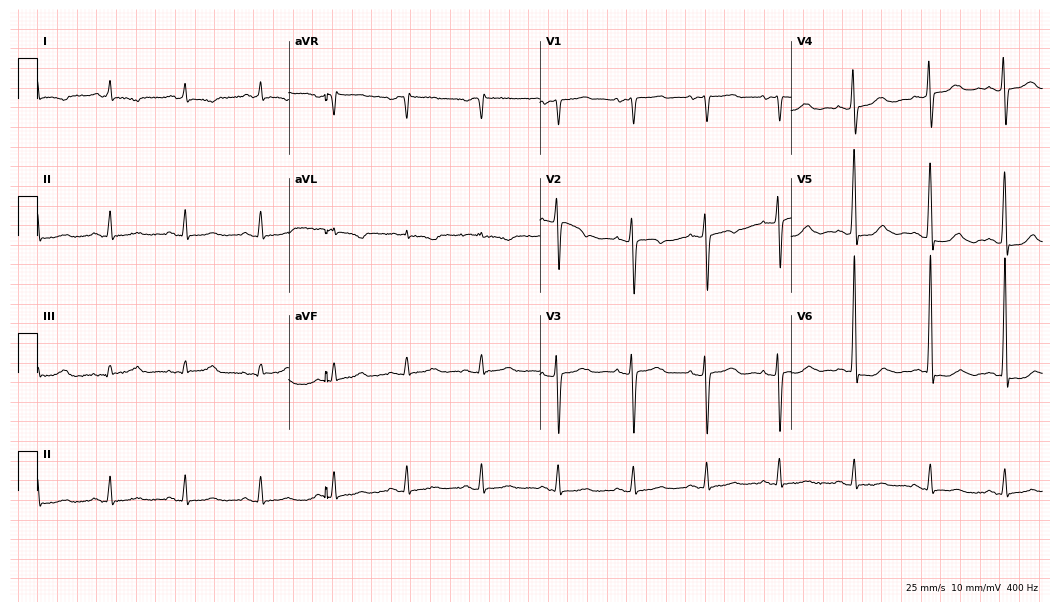
12-lead ECG from a male patient, 41 years old (10.2-second recording at 400 Hz). No first-degree AV block, right bundle branch block, left bundle branch block, sinus bradycardia, atrial fibrillation or sinus tachycardia recorded for this tracing.